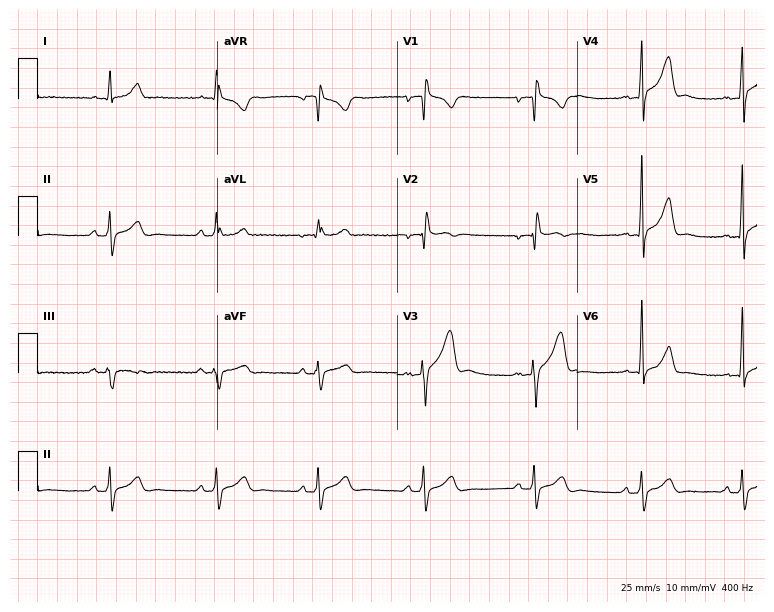
Resting 12-lead electrocardiogram. Patient: a male, 29 years old. None of these six findings is recorded: first-degree AV block, right bundle branch block, left bundle branch block, sinus bradycardia, atrial fibrillation, sinus tachycardia. Other findings, if any, are not listed.